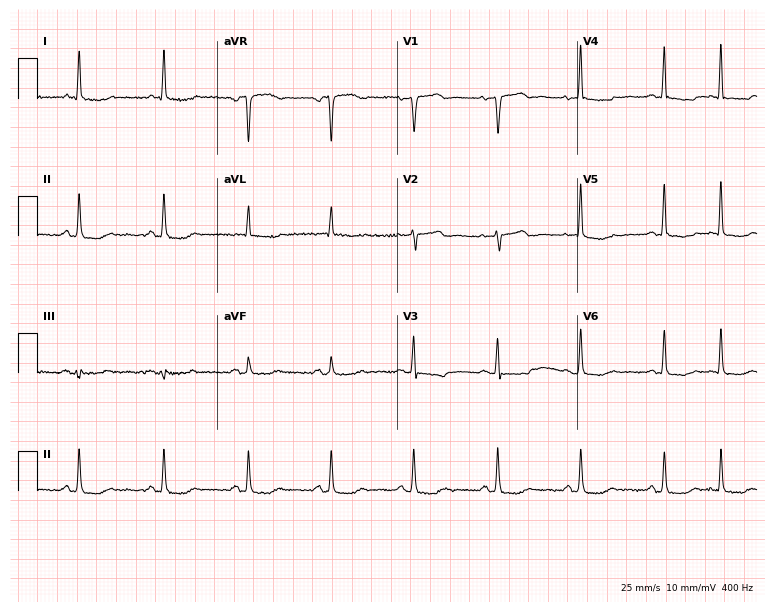
Resting 12-lead electrocardiogram. Patient: a female, 82 years old. None of these six findings is recorded: first-degree AV block, right bundle branch block (RBBB), left bundle branch block (LBBB), sinus bradycardia, atrial fibrillation (AF), sinus tachycardia. Only these six findings were labelled.